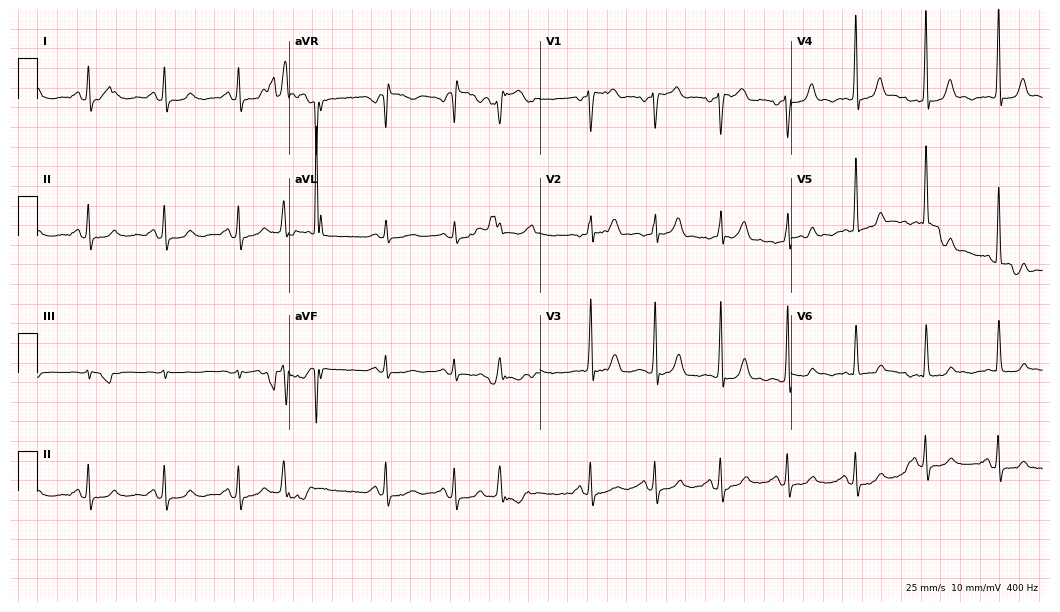
Standard 12-lead ECG recorded from a female patient, 69 years old. Read as a normal ECG.